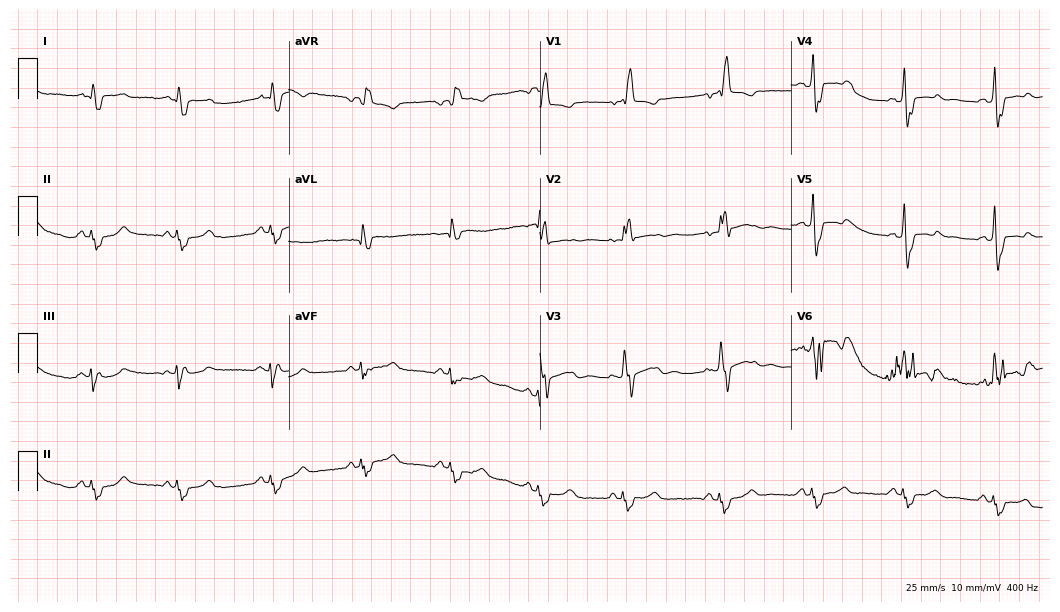
Electrocardiogram, a female patient, 59 years old. Interpretation includes right bundle branch block.